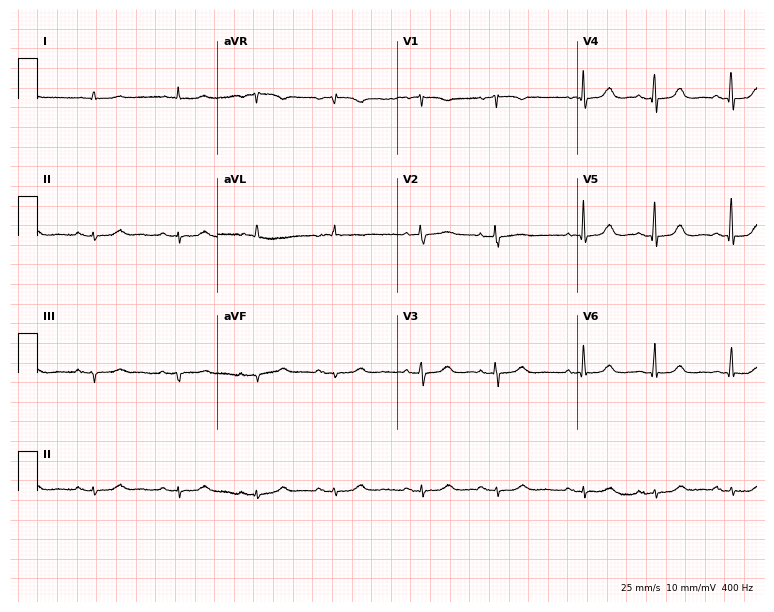
ECG (7.3-second recording at 400 Hz) — an 80-year-old female. Screened for six findings — first-degree AV block, right bundle branch block, left bundle branch block, sinus bradycardia, atrial fibrillation, sinus tachycardia — none is recorded. Findings outside these six are not listed.